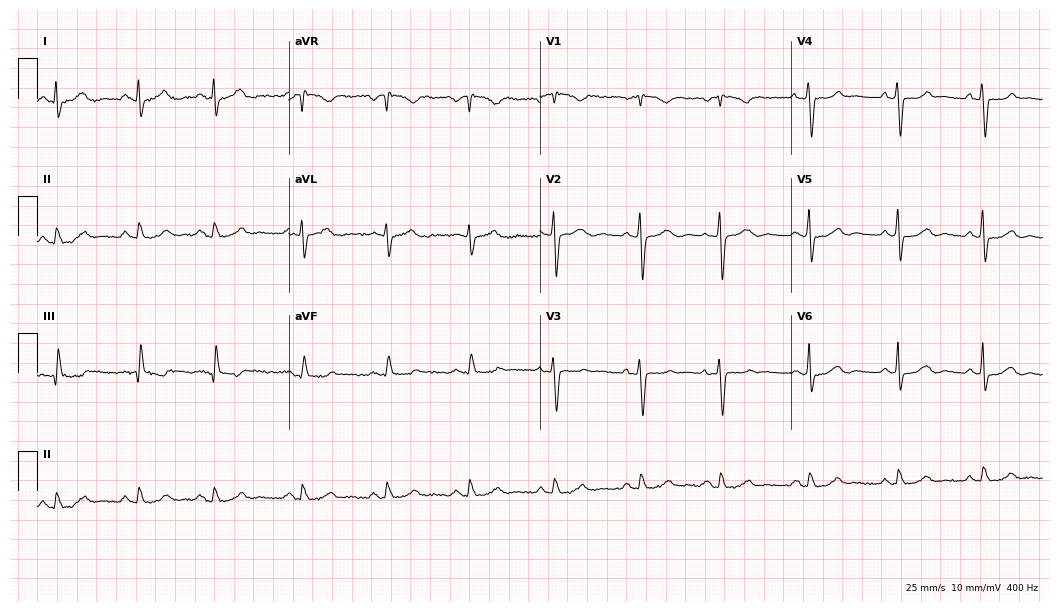
12-lead ECG from a 51-year-old woman. Labelled as a normal ECG.